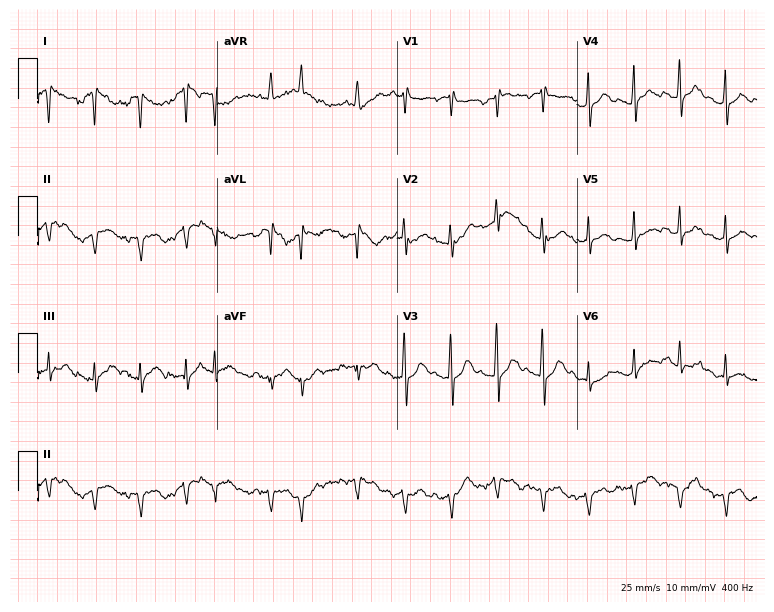
Resting 12-lead electrocardiogram (7.3-second recording at 400 Hz). Patient: a woman, 76 years old. None of these six findings is recorded: first-degree AV block, right bundle branch block, left bundle branch block, sinus bradycardia, atrial fibrillation, sinus tachycardia.